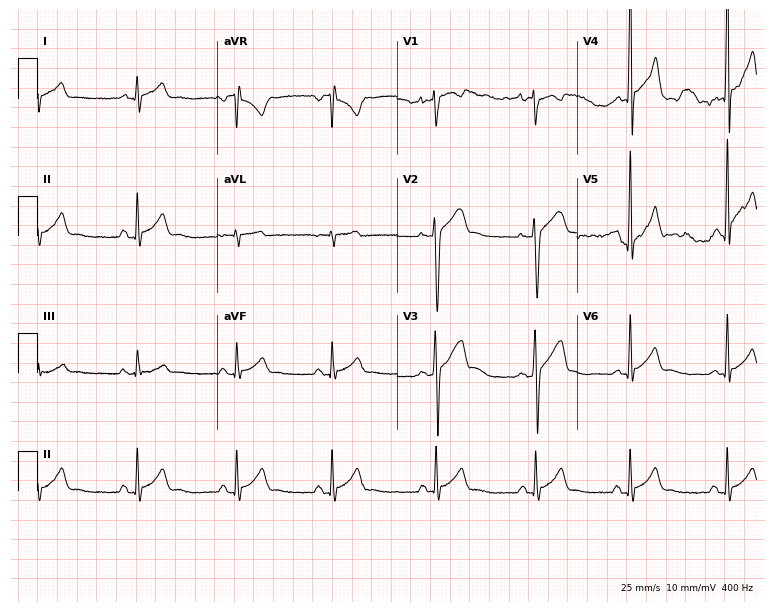
Standard 12-lead ECG recorded from an 18-year-old male. Read as a normal ECG.